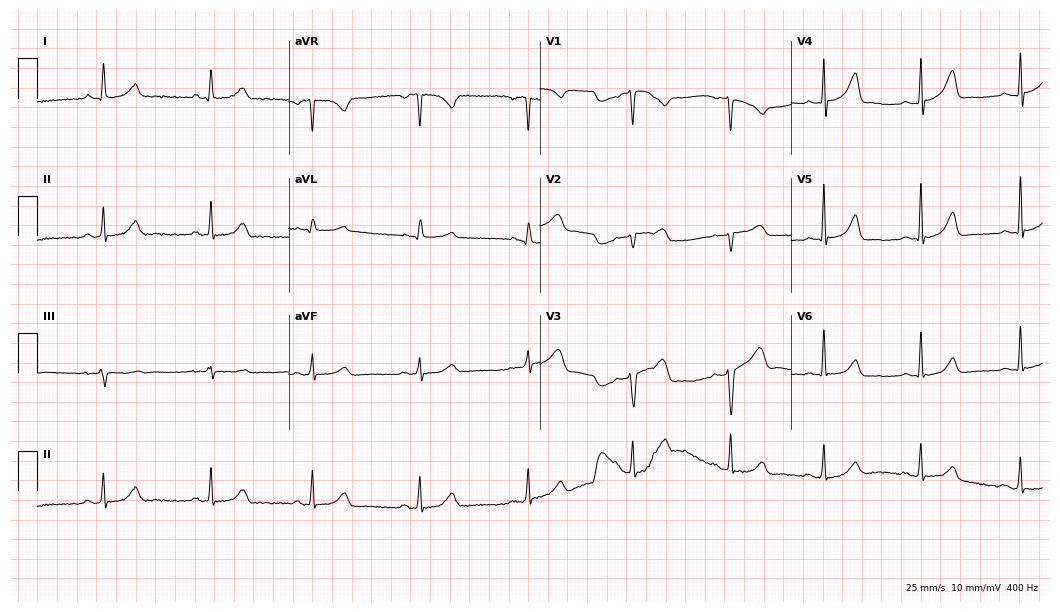
ECG (10.2-second recording at 400 Hz) — a female, 56 years old. Labelled as a normal ECG.